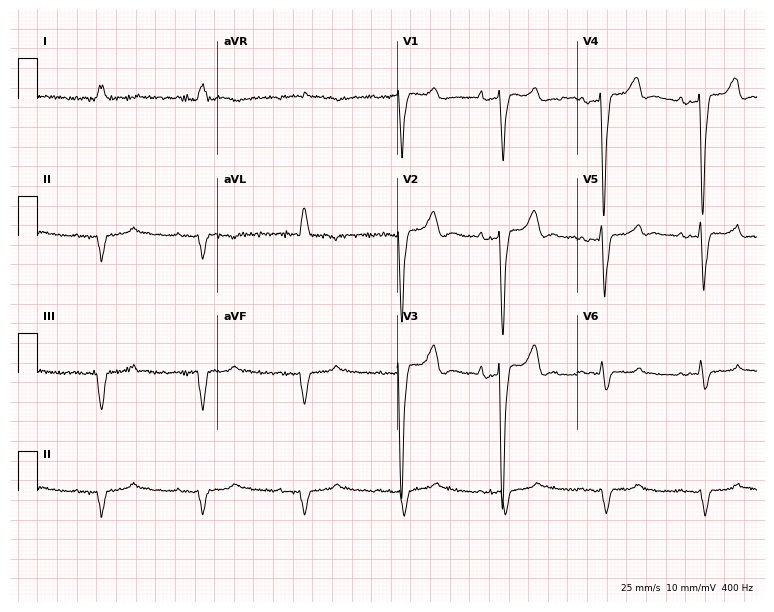
ECG — a 73-year-old male patient. Screened for six findings — first-degree AV block, right bundle branch block, left bundle branch block, sinus bradycardia, atrial fibrillation, sinus tachycardia — none is recorded.